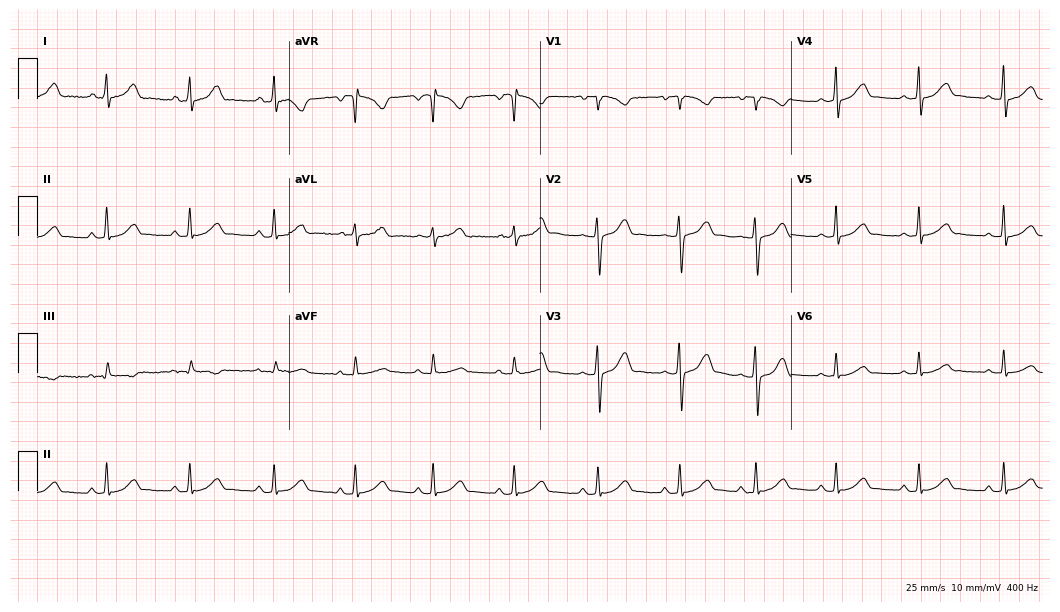
Resting 12-lead electrocardiogram (10.2-second recording at 400 Hz). Patient: a female, 27 years old. Read as a normal ECG.